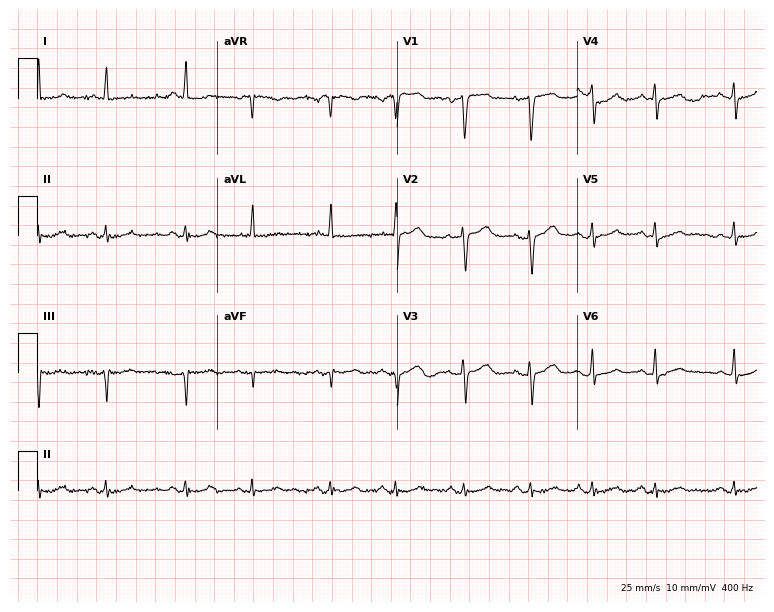
12-lead ECG from a 45-year-old female. Screened for six findings — first-degree AV block, right bundle branch block, left bundle branch block, sinus bradycardia, atrial fibrillation, sinus tachycardia — none is recorded.